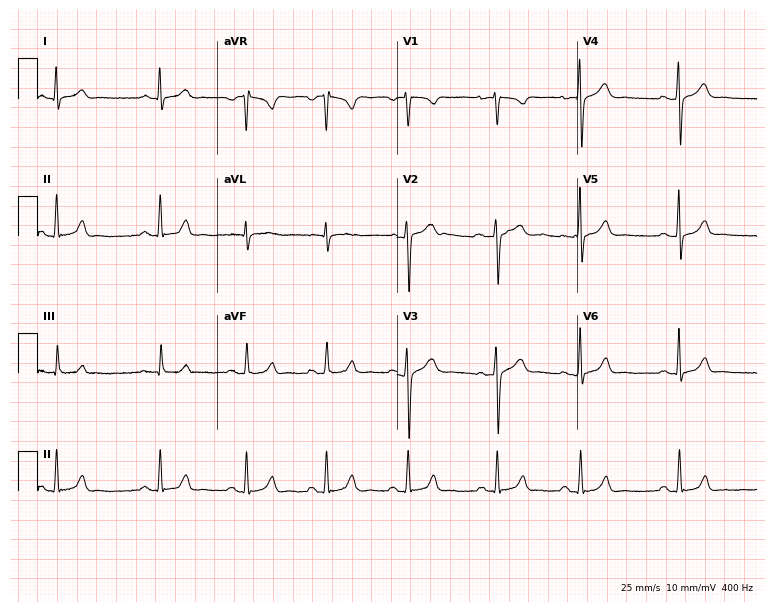
ECG — a female patient, 23 years old. Screened for six findings — first-degree AV block, right bundle branch block, left bundle branch block, sinus bradycardia, atrial fibrillation, sinus tachycardia — none is recorded.